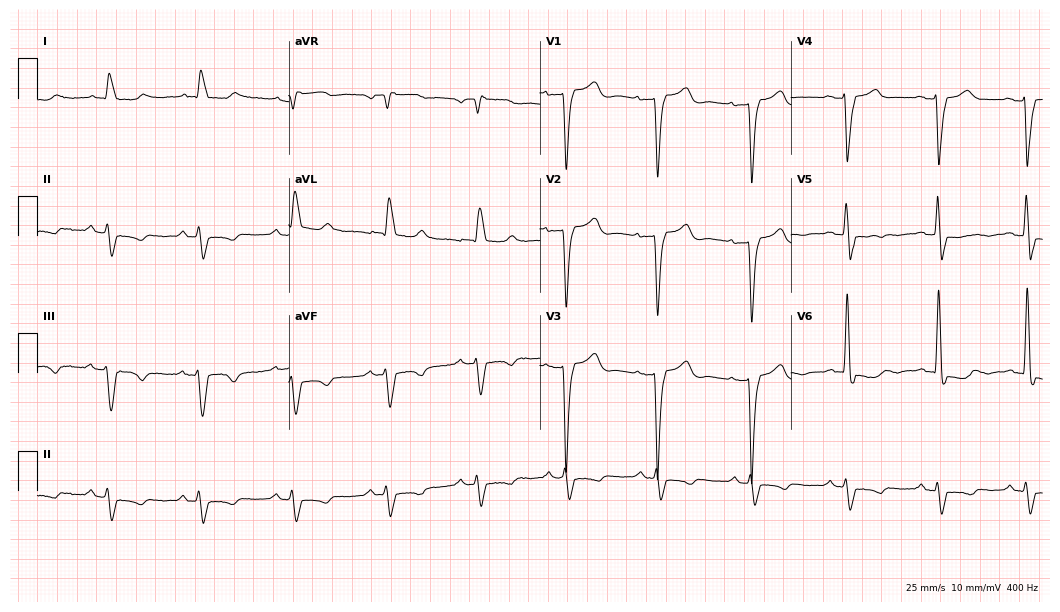
12-lead ECG (10.2-second recording at 400 Hz) from a female, 78 years old. Screened for six findings — first-degree AV block, right bundle branch block, left bundle branch block, sinus bradycardia, atrial fibrillation, sinus tachycardia — none is recorded. Other findings, if any, are not listed.